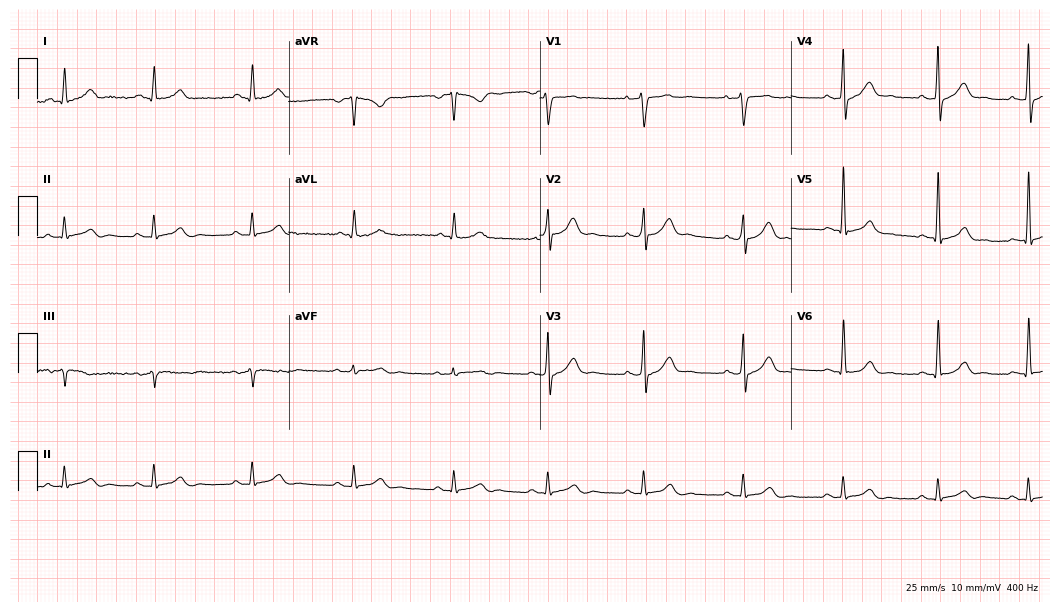
12-lead ECG (10.2-second recording at 400 Hz) from a male patient, 40 years old. Screened for six findings — first-degree AV block, right bundle branch block, left bundle branch block, sinus bradycardia, atrial fibrillation, sinus tachycardia — none is recorded.